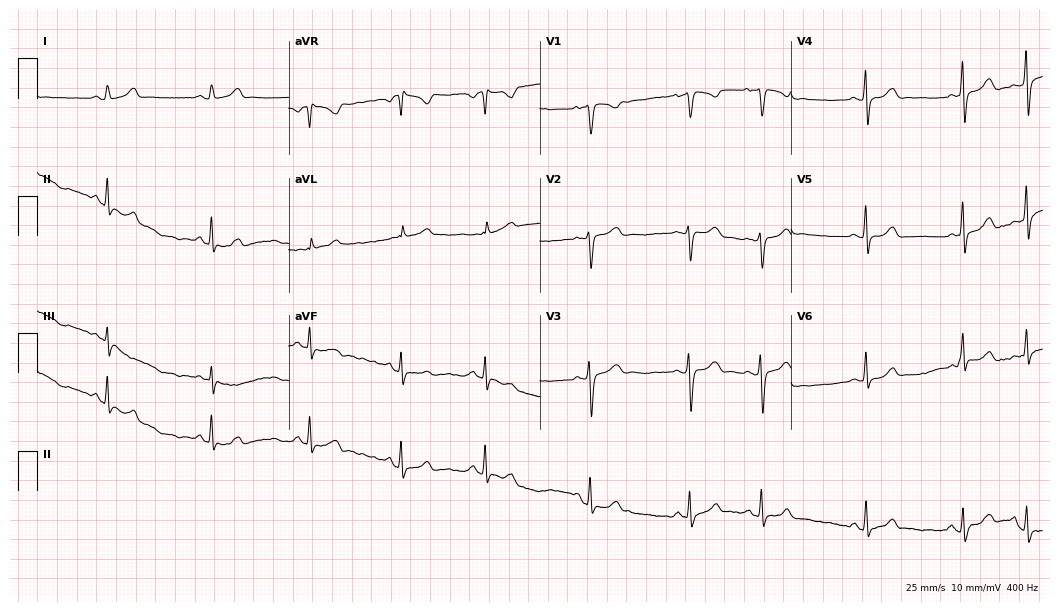
12-lead ECG from a female patient, 29 years old (10.2-second recording at 400 Hz). Recorded interpretation: within normal limits.